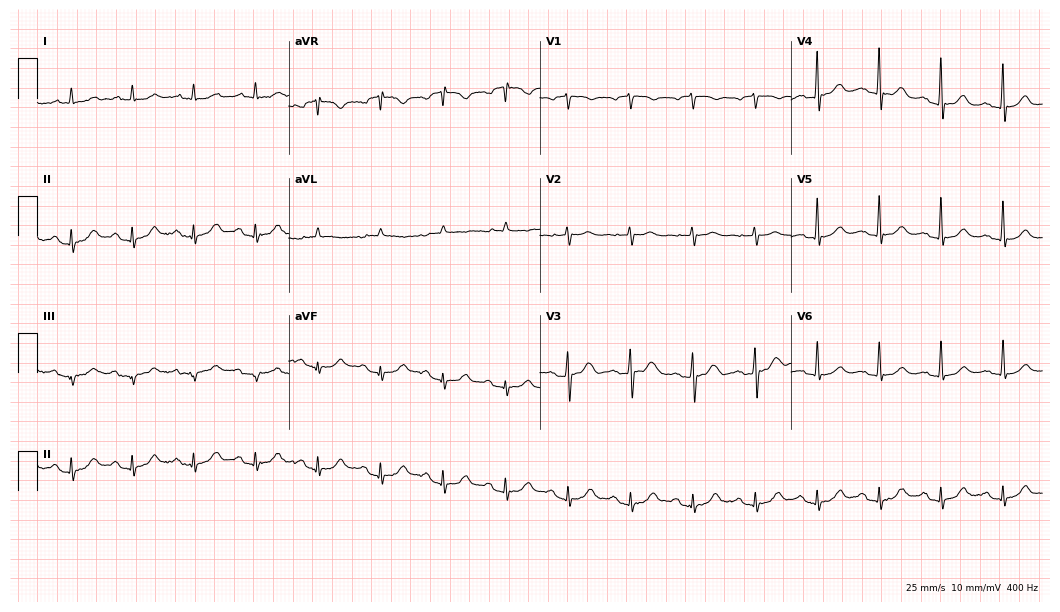
Electrocardiogram (10.2-second recording at 400 Hz), an 84-year-old male. Of the six screened findings (first-degree AV block, right bundle branch block (RBBB), left bundle branch block (LBBB), sinus bradycardia, atrial fibrillation (AF), sinus tachycardia), none is recorded.